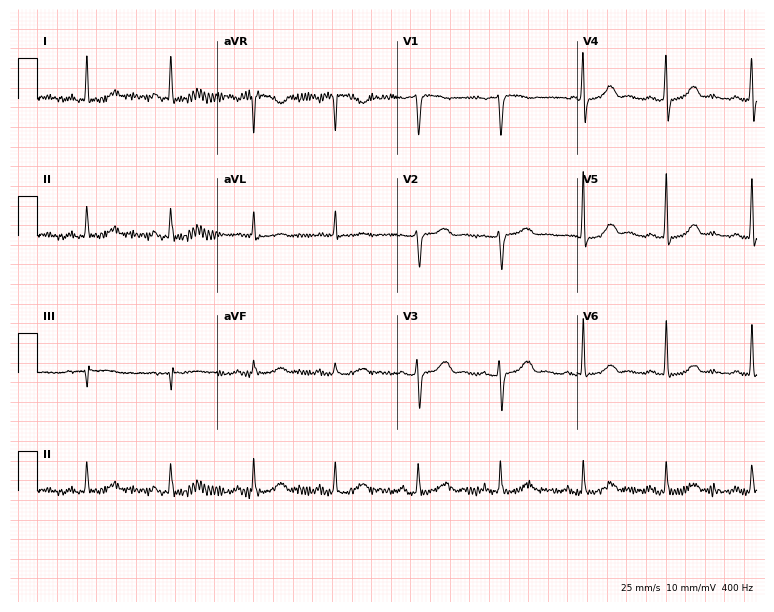
Standard 12-lead ECG recorded from a woman, 53 years old (7.3-second recording at 400 Hz). Read as a normal ECG.